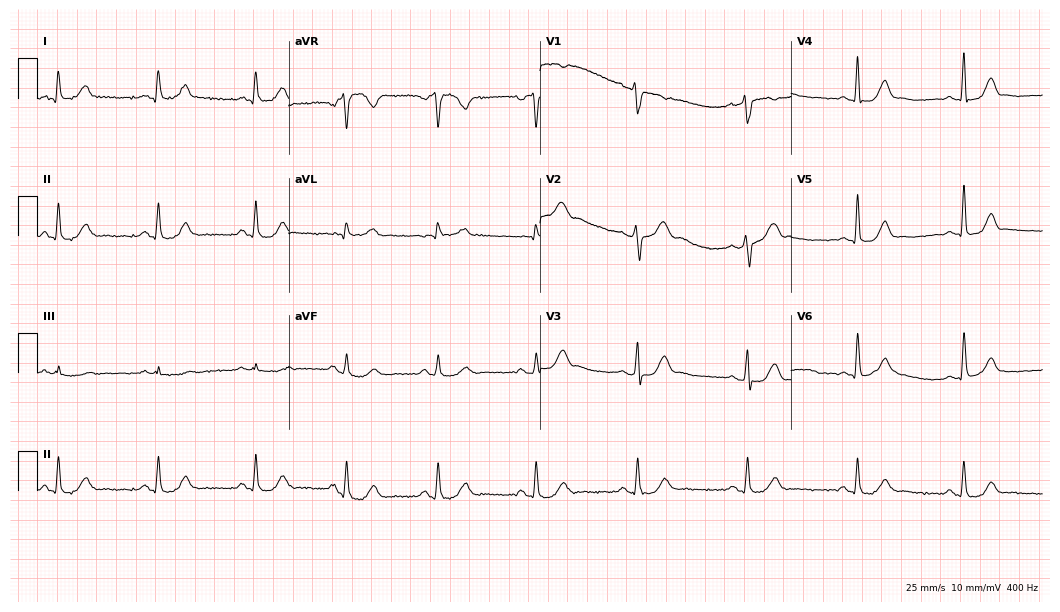
Resting 12-lead electrocardiogram. Patient: a male, 50 years old. Read as a normal ECG.